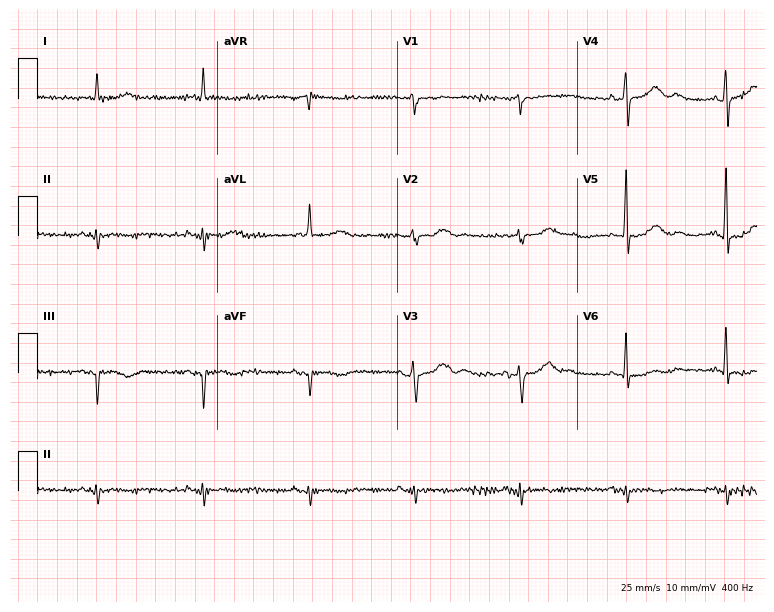
ECG — a male, 74 years old. Screened for six findings — first-degree AV block, right bundle branch block, left bundle branch block, sinus bradycardia, atrial fibrillation, sinus tachycardia — none is recorded.